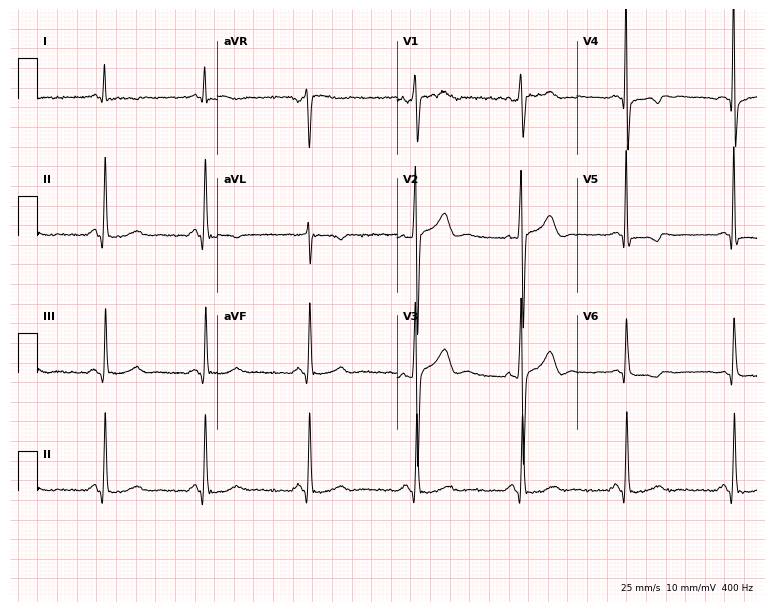
12-lead ECG from a male patient, 46 years old. No first-degree AV block, right bundle branch block, left bundle branch block, sinus bradycardia, atrial fibrillation or sinus tachycardia recorded for this tracing.